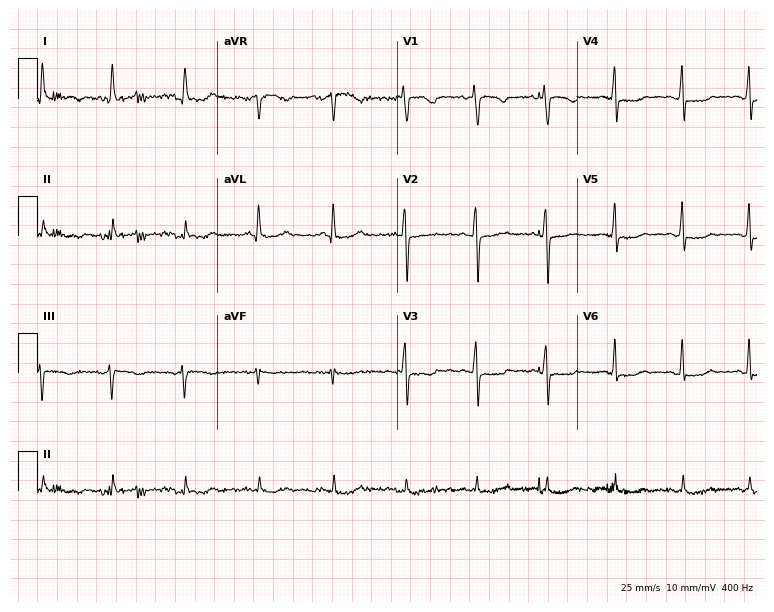
12-lead ECG from a 50-year-old woman. Recorded interpretation: within normal limits.